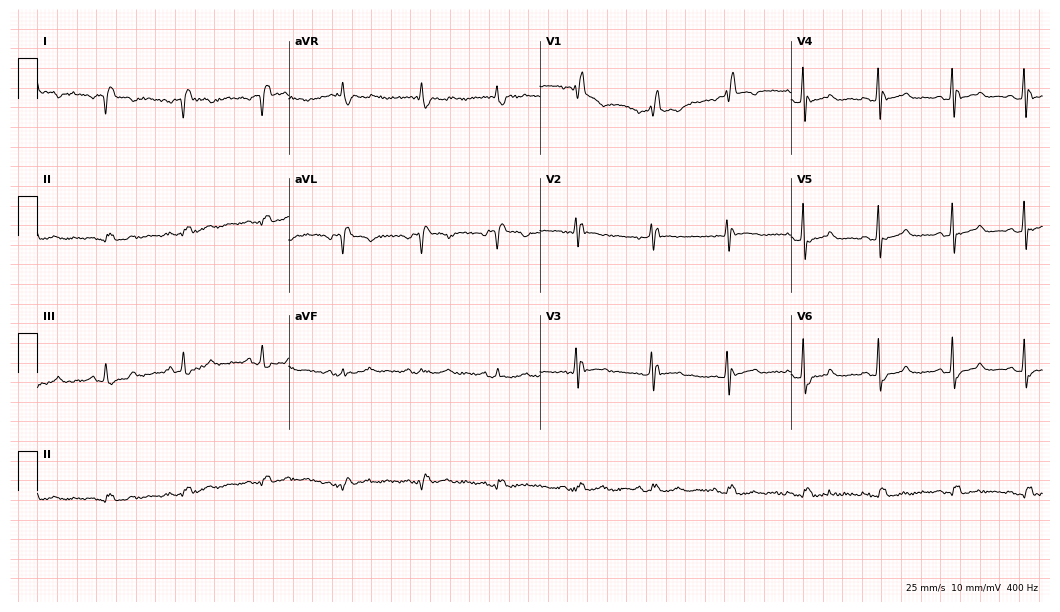
12-lead ECG from a female patient, 67 years old (10.2-second recording at 400 Hz). No first-degree AV block, right bundle branch block (RBBB), left bundle branch block (LBBB), sinus bradycardia, atrial fibrillation (AF) or sinus tachycardia recorded for this tracing.